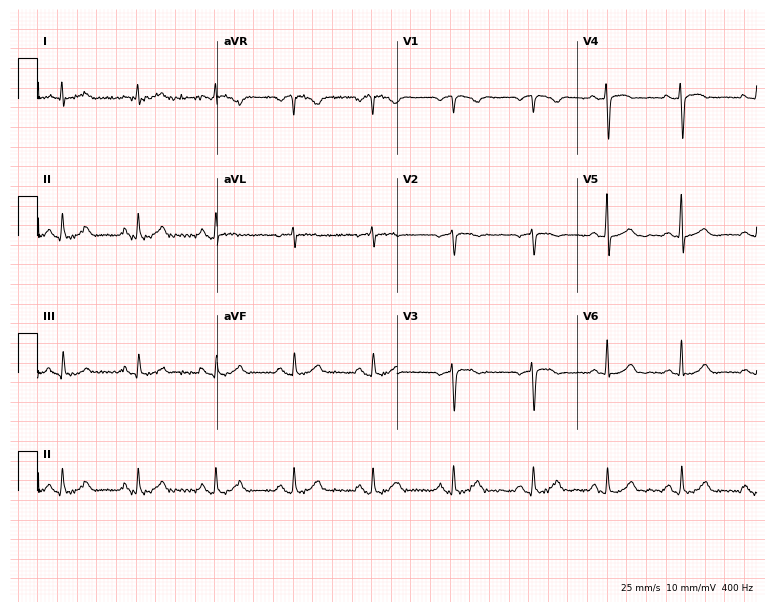
12-lead ECG from a 70-year-old female patient (7.3-second recording at 400 Hz). No first-degree AV block, right bundle branch block (RBBB), left bundle branch block (LBBB), sinus bradycardia, atrial fibrillation (AF) or sinus tachycardia recorded for this tracing.